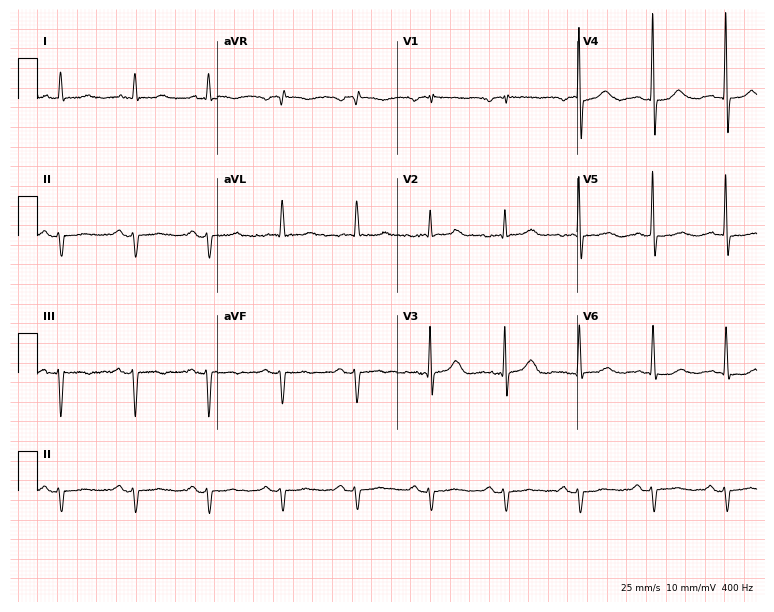
12-lead ECG (7.3-second recording at 400 Hz) from a woman, 77 years old. Screened for six findings — first-degree AV block, right bundle branch block, left bundle branch block, sinus bradycardia, atrial fibrillation, sinus tachycardia — none is recorded.